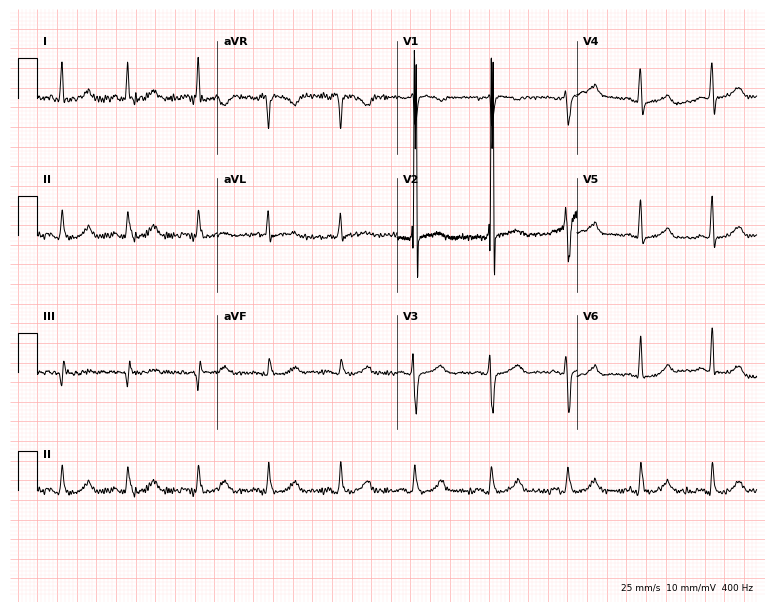
Electrocardiogram (7.3-second recording at 400 Hz), a female, 47 years old. Overall reading on record: normal ECG.